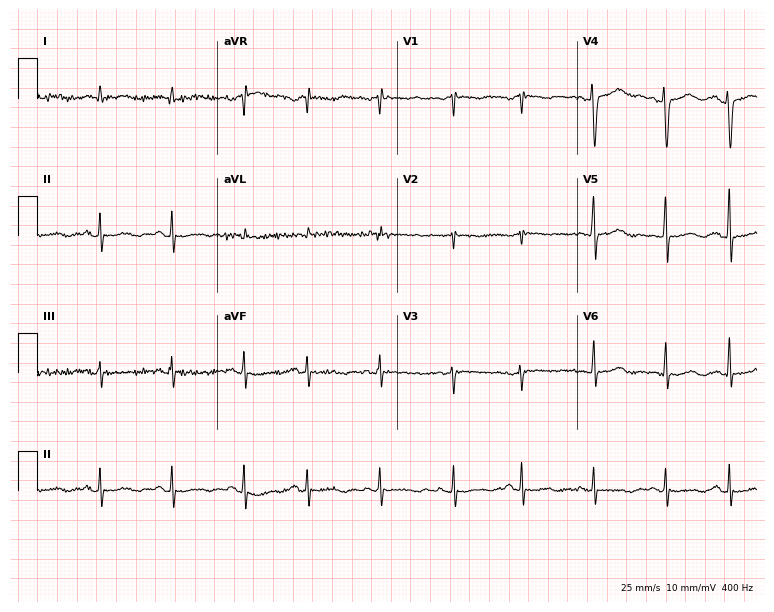
Standard 12-lead ECG recorded from a male patient, 63 years old (7.3-second recording at 400 Hz). None of these six findings is recorded: first-degree AV block, right bundle branch block, left bundle branch block, sinus bradycardia, atrial fibrillation, sinus tachycardia. Findings outside these six are not listed.